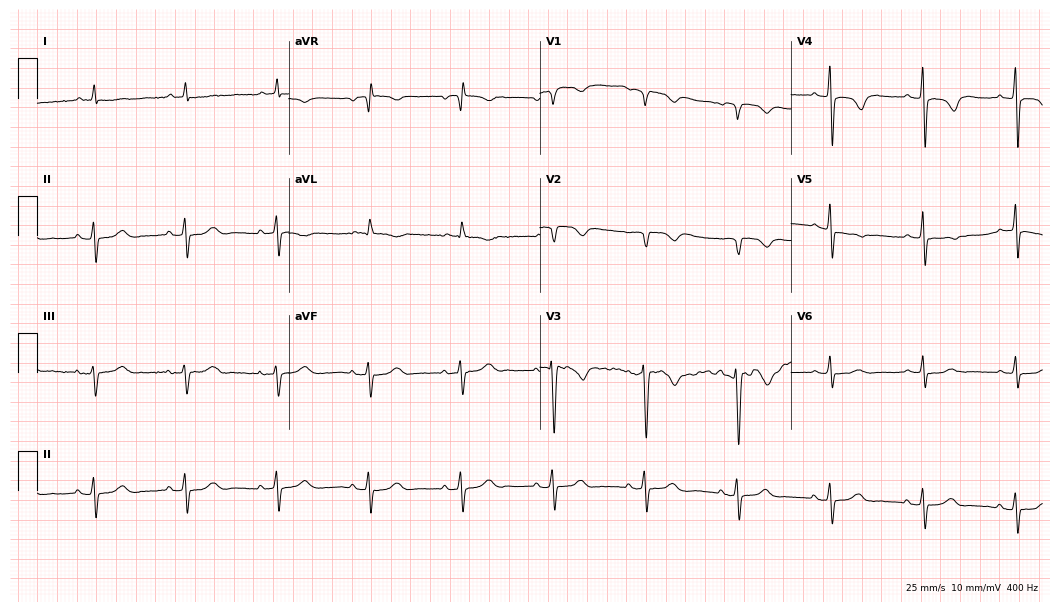
12-lead ECG from a male patient, 83 years old. Screened for six findings — first-degree AV block, right bundle branch block, left bundle branch block, sinus bradycardia, atrial fibrillation, sinus tachycardia — none is recorded. Only these six findings were labelled.